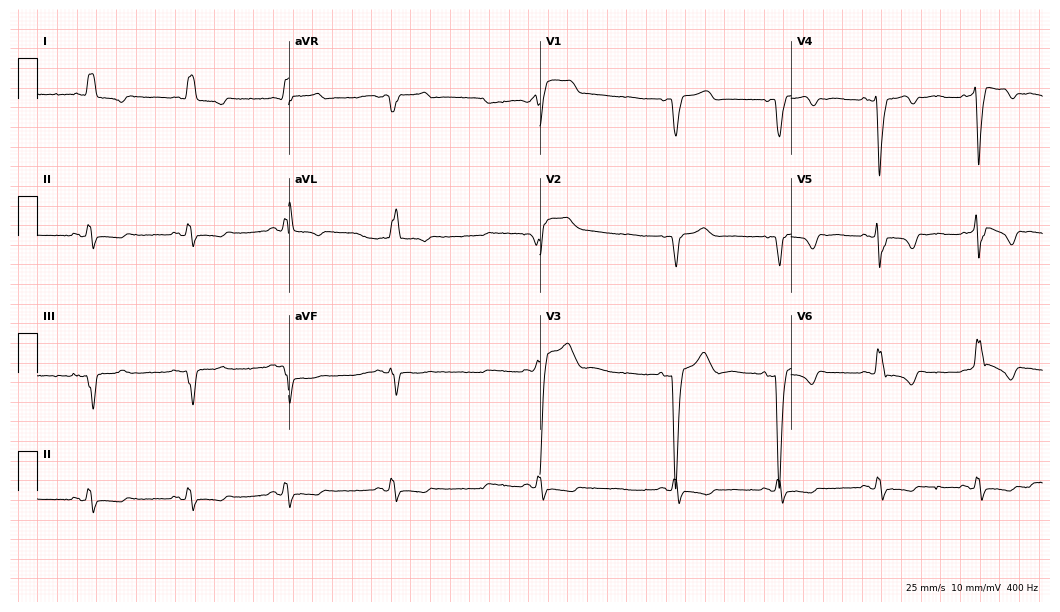
ECG — an 81-year-old female. Screened for six findings — first-degree AV block, right bundle branch block, left bundle branch block, sinus bradycardia, atrial fibrillation, sinus tachycardia — none is recorded.